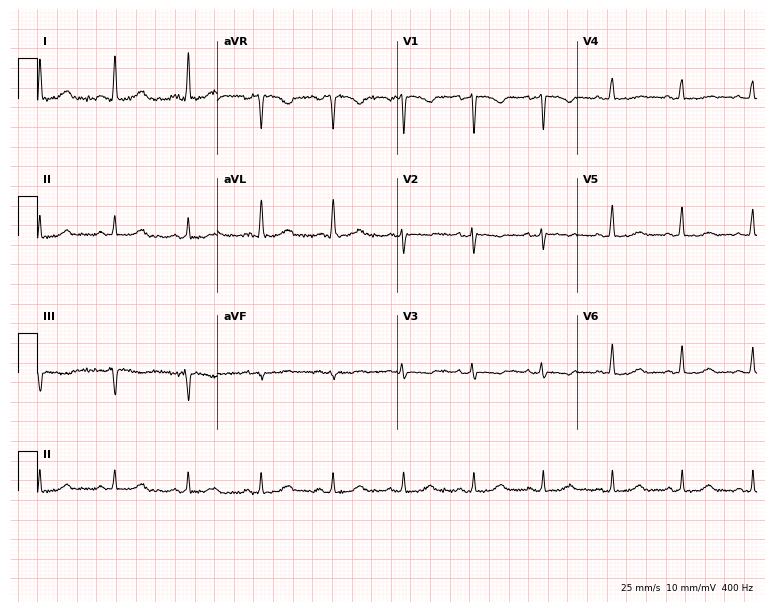
12-lead ECG from a female, 49 years old. No first-degree AV block, right bundle branch block (RBBB), left bundle branch block (LBBB), sinus bradycardia, atrial fibrillation (AF) or sinus tachycardia recorded for this tracing.